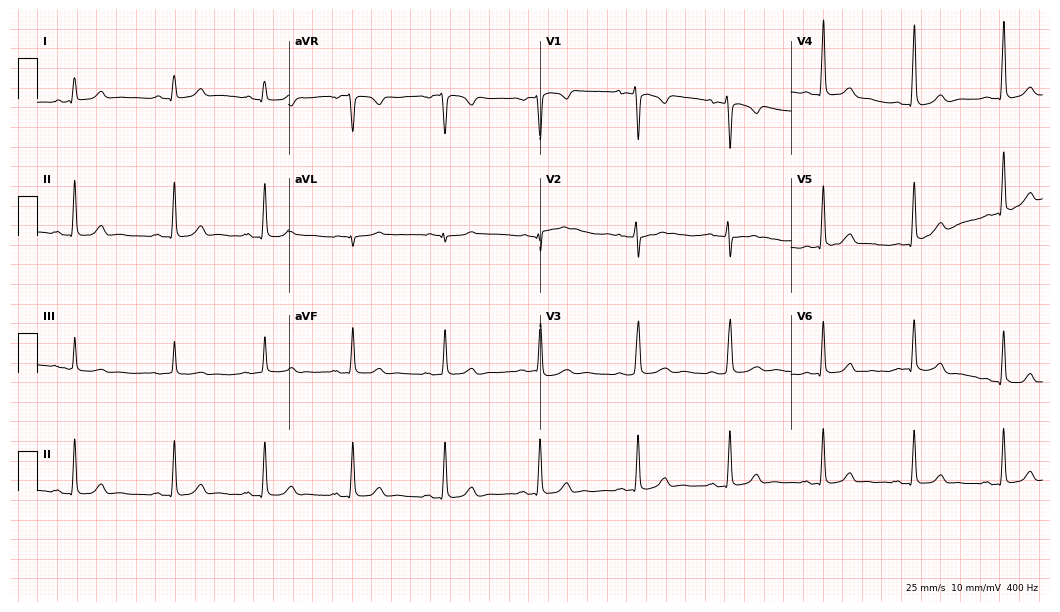
Standard 12-lead ECG recorded from a female, 33 years old. Read as a normal ECG.